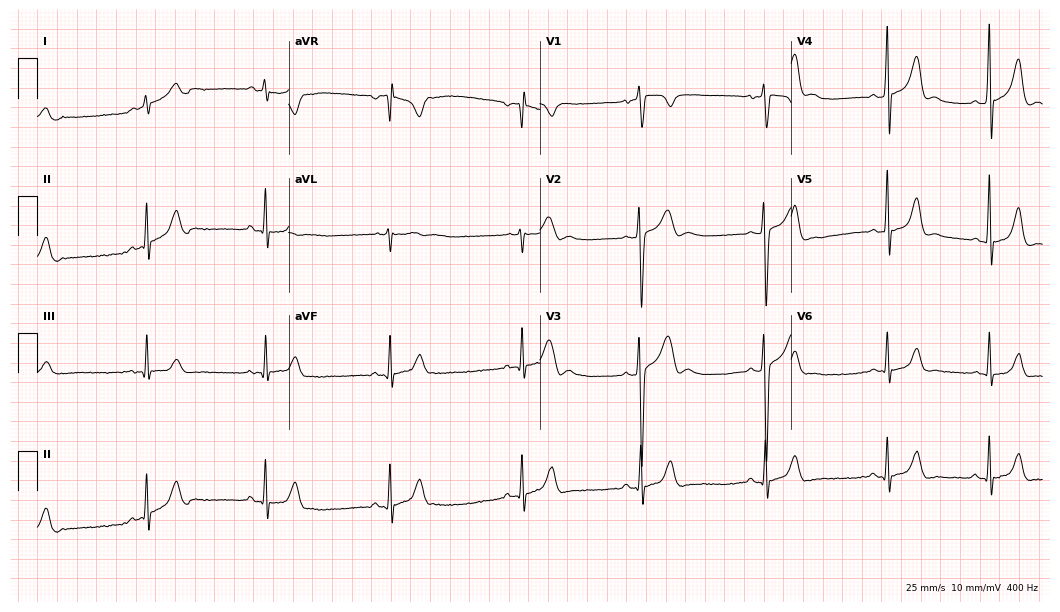
Resting 12-lead electrocardiogram (10.2-second recording at 400 Hz). Patient: a male, 18 years old. The tracing shows sinus bradycardia (a sinus rate of 50 beats per minute or less).